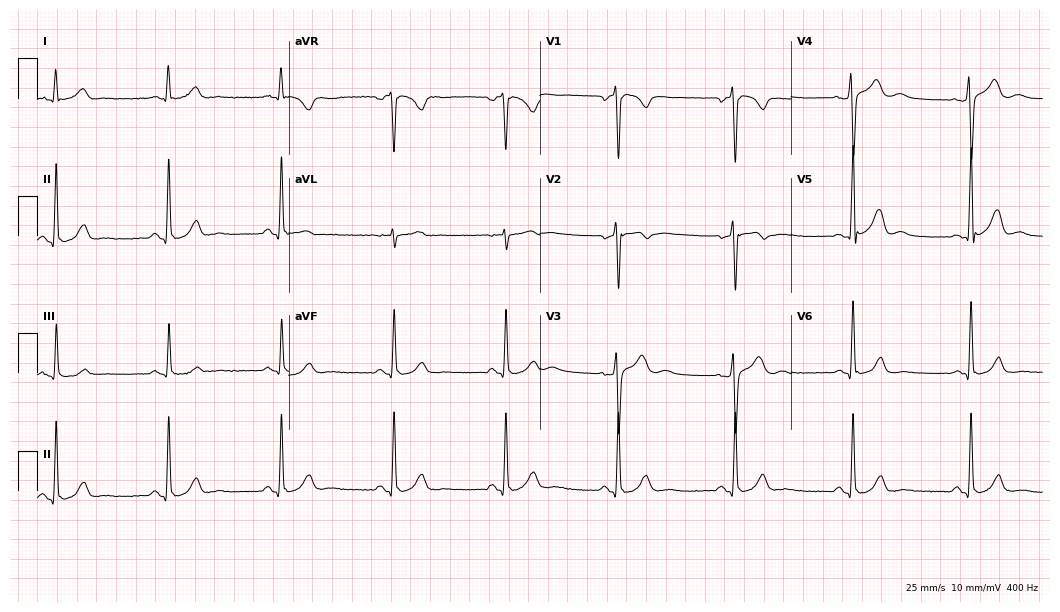
12-lead ECG (10.2-second recording at 400 Hz) from a man, 40 years old. Screened for six findings — first-degree AV block, right bundle branch block, left bundle branch block, sinus bradycardia, atrial fibrillation, sinus tachycardia — none is recorded.